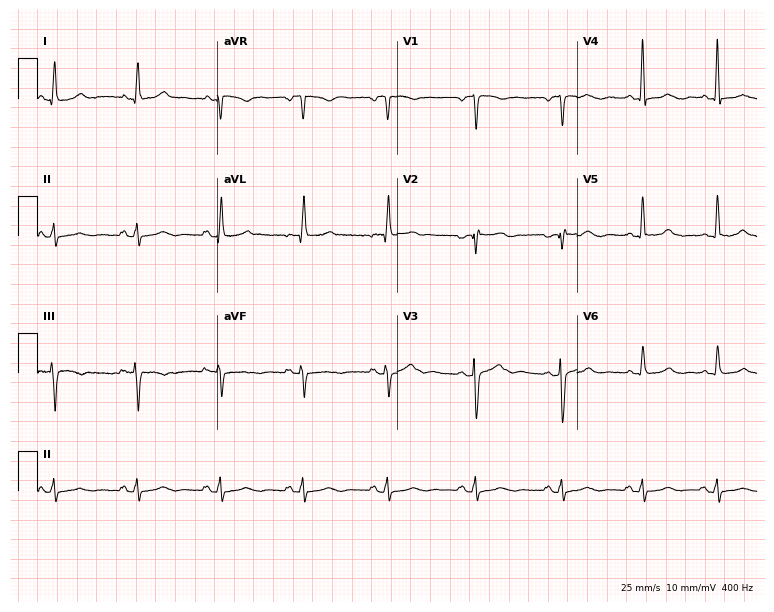
12-lead ECG from a 65-year-old female patient (7.3-second recording at 400 Hz). No first-degree AV block, right bundle branch block (RBBB), left bundle branch block (LBBB), sinus bradycardia, atrial fibrillation (AF) or sinus tachycardia recorded for this tracing. Other findings, if any, are not listed.